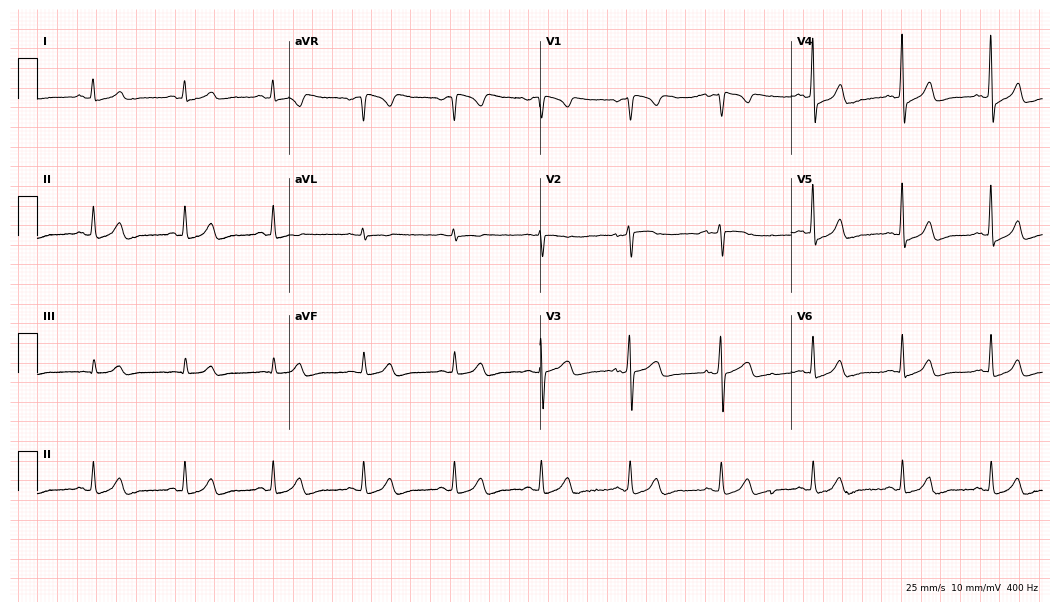
12-lead ECG (10.2-second recording at 400 Hz) from a 59-year-old woman. Screened for six findings — first-degree AV block, right bundle branch block, left bundle branch block, sinus bradycardia, atrial fibrillation, sinus tachycardia — none is recorded.